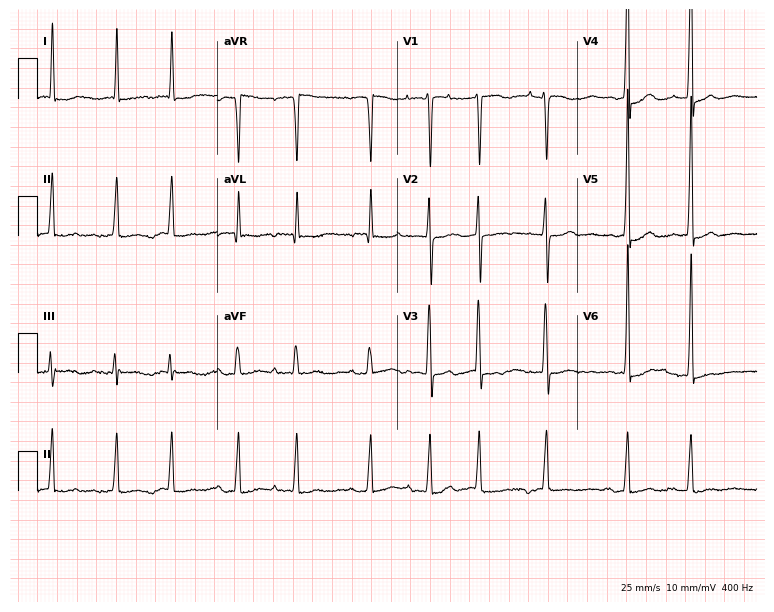
Standard 12-lead ECG recorded from a woman, 82 years old (7.3-second recording at 400 Hz). None of these six findings is recorded: first-degree AV block, right bundle branch block (RBBB), left bundle branch block (LBBB), sinus bradycardia, atrial fibrillation (AF), sinus tachycardia.